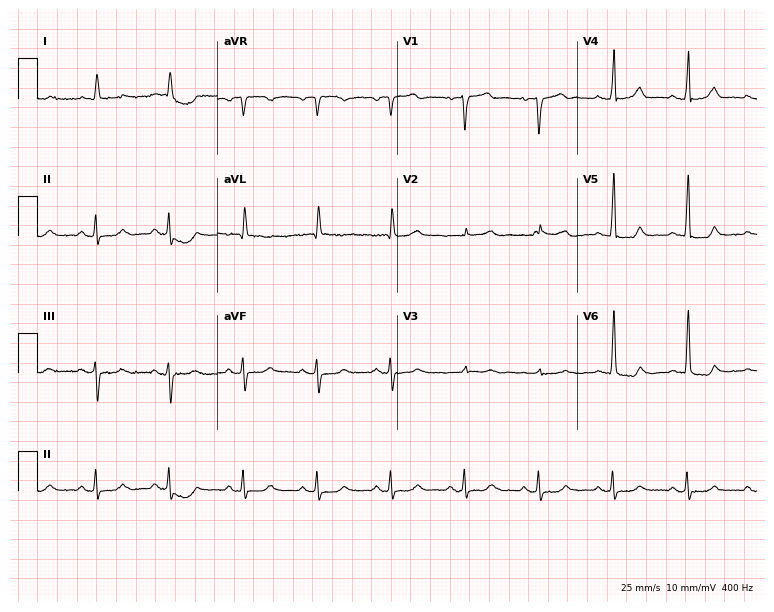
ECG (7.3-second recording at 400 Hz) — an 85-year-old male patient. Labelled as a normal ECG.